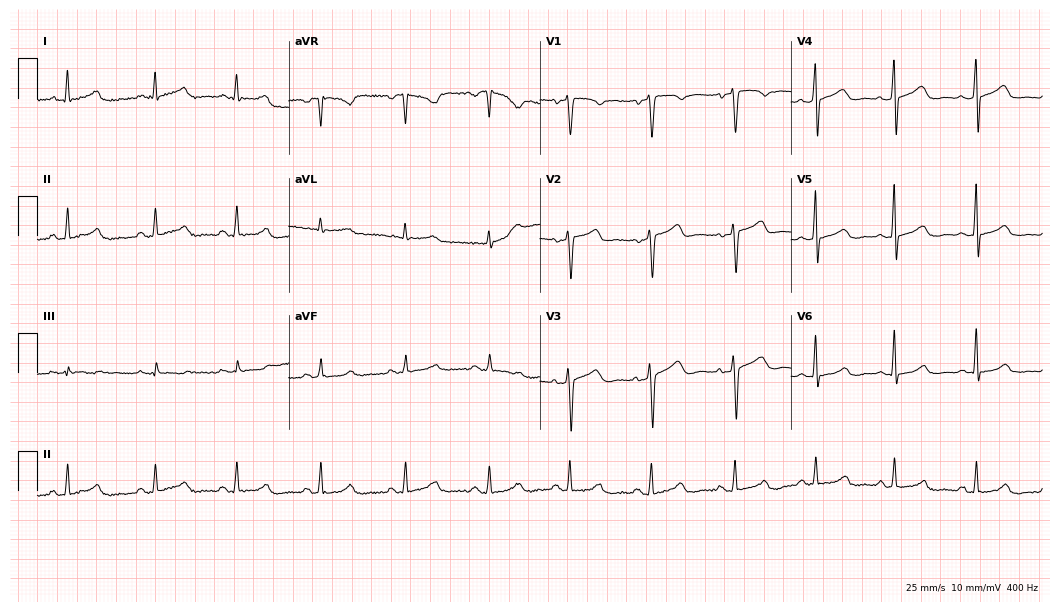
Standard 12-lead ECG recorded from a female, 43 years old (10.2-second recording at 400 Hz). Read as a normal ECG.